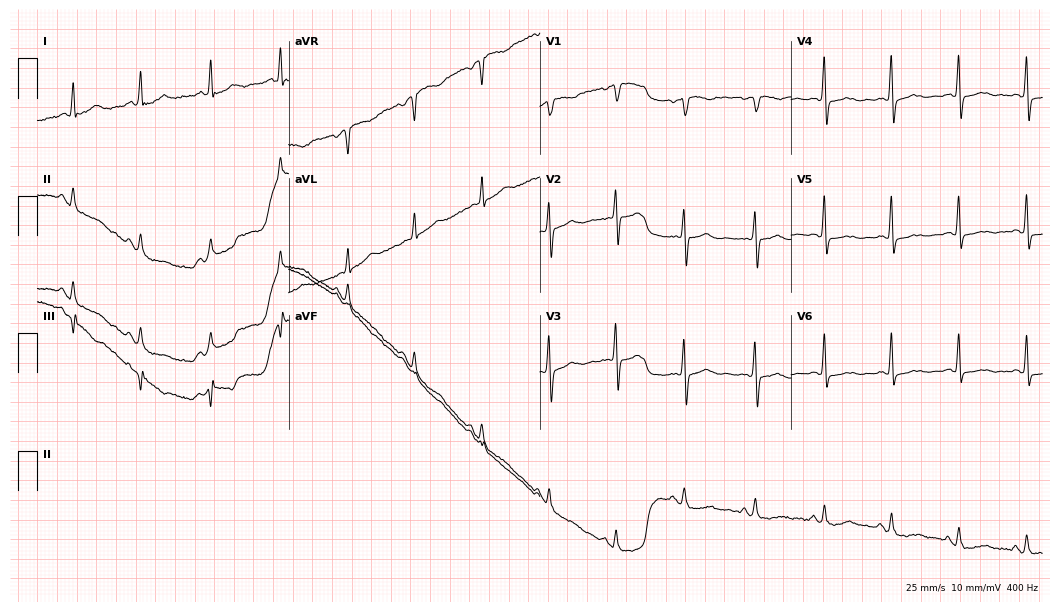
12-lead ECG from a 55-year-old female patient. Labelled as a normal ECG.